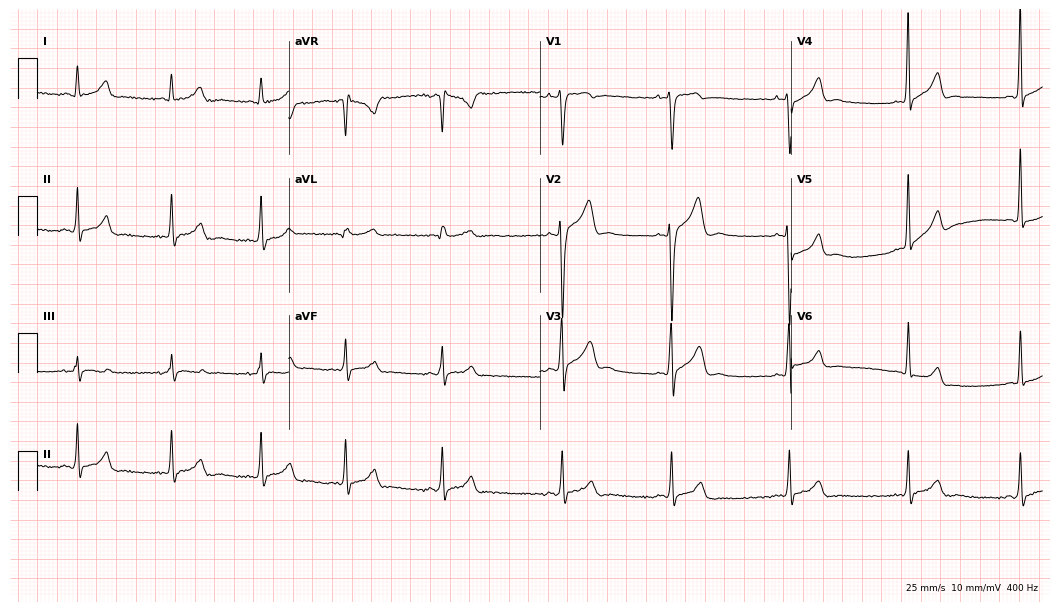
12-lead ECG from an 18-year-old male. Labelled as a normal ECG.